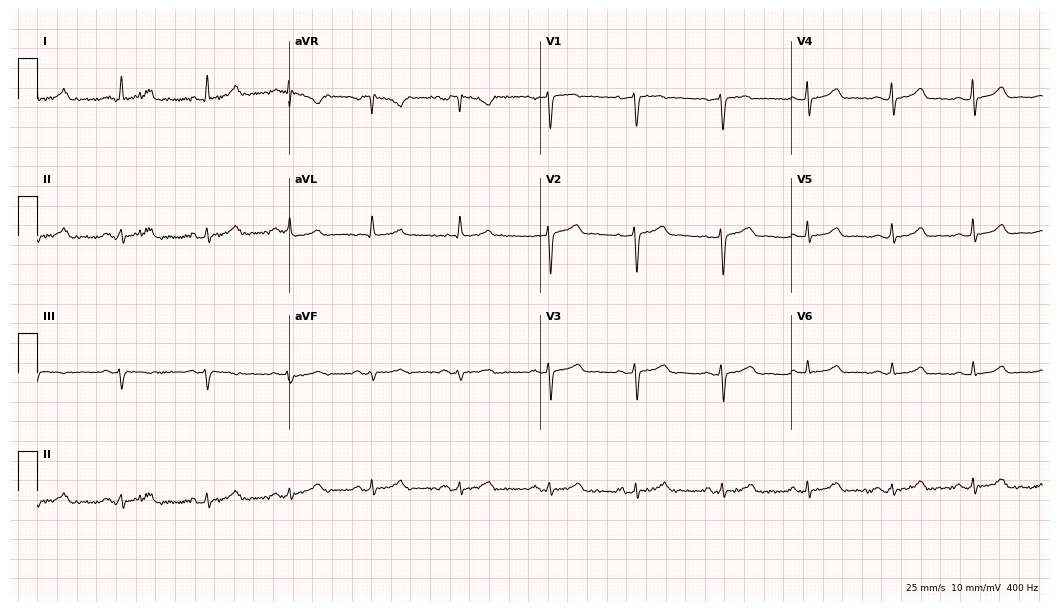
12-lead ECG from a female patient, 48 years old. Labelled as a normal ECG.